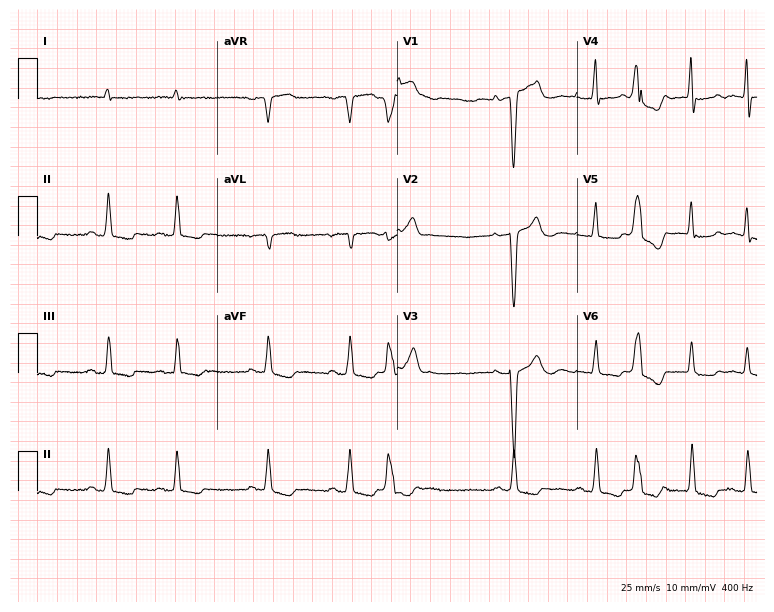
Resting 12-lead electrocardiogram. Patient: a 79-year-old man. None of these six findings is recorded: first-degree AV block, right bundle branch block, left bundle branch block, sinus bradycardia, atrial fibrillation, sinus tachycardia.